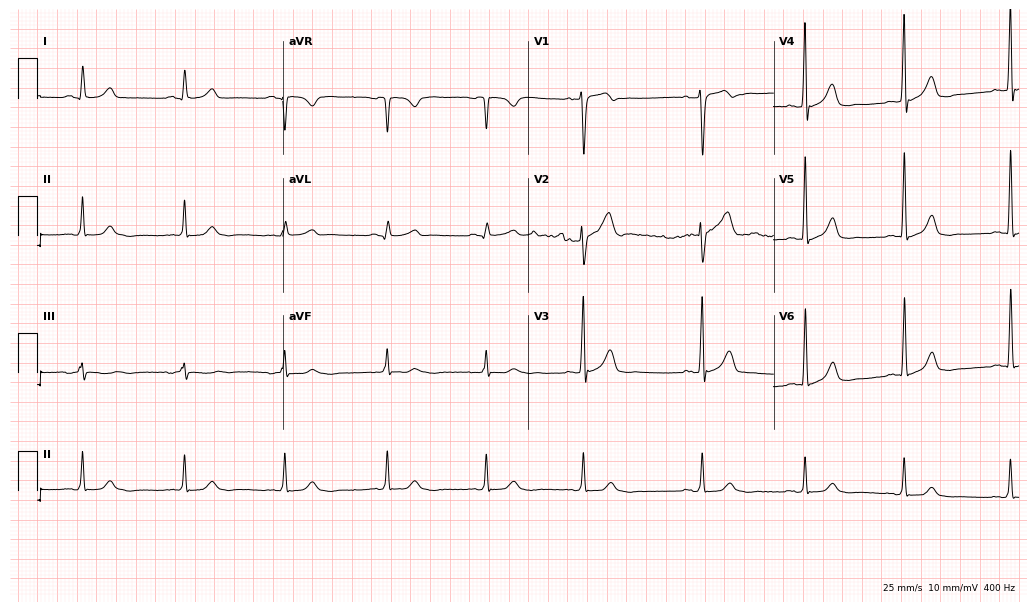
Resting 12-lead electrocardiogram. Patient: a 61-year-old man. Read as a normal ECG.